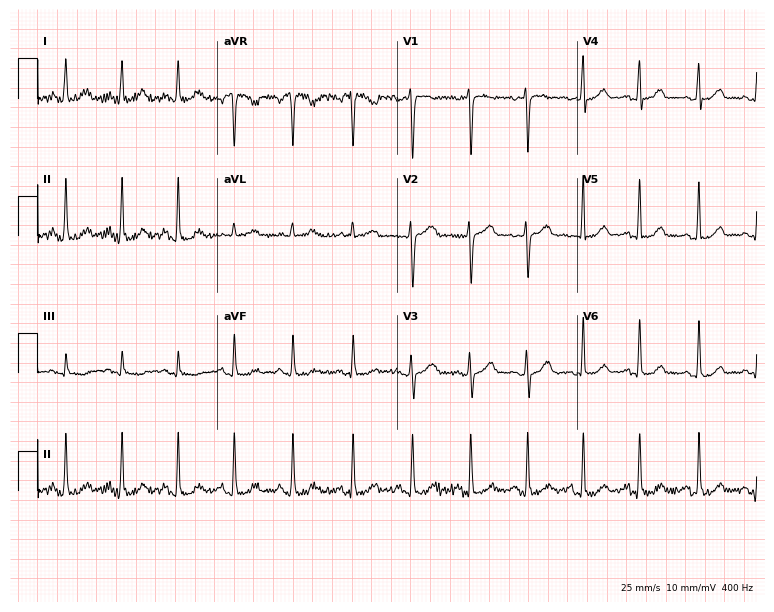
12-lead ECG from a 29-year-old female (7.3-second recording at 400 Hz). Recorded interpretation: within normal limits.